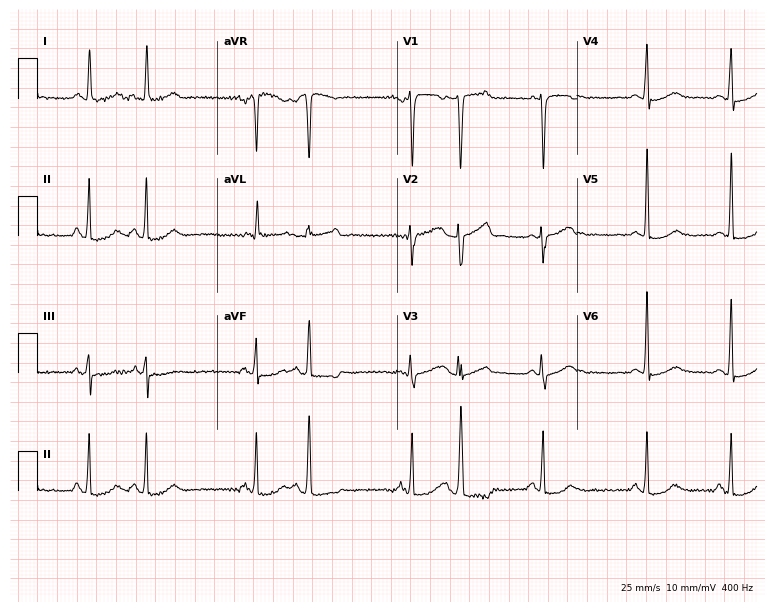
Resting 12-lead electrocardiogram (7.3-second recording at 400 Hz). Patient: a 54-year-old female. None of these six findings is recorded: first-degree AV block, right bundle branch block (RBBB), left bundle branch block (LBBB), sinus bradycardia, atrial fibrillation (AF), sinus tachycardia. Findings outside these six are not listed.